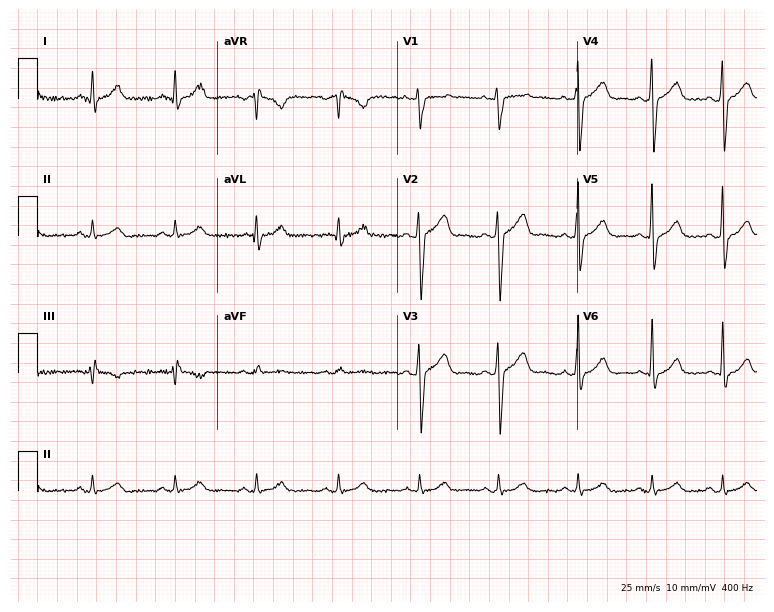
Standard 12-lead ECG recorded from a man, 44 years old. None of these six findings is recorded: first-degree AV block, right bundle branch block (RBBB), left bundle branch block (LBBB), sinus bradycardia, atrial fibrillation (AF), sinus tachycardia.